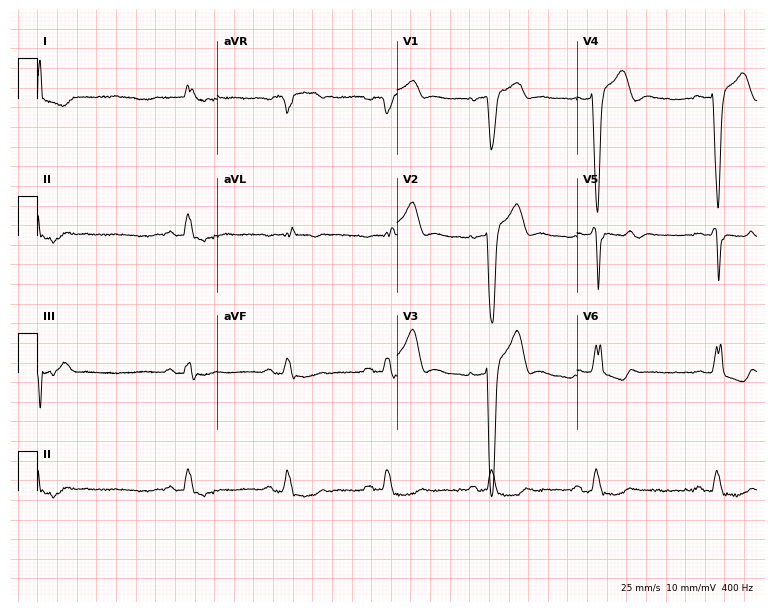
ECG (7.3-second recording at 400 Hz) — a male patient, 68 years old. Findings include left bundle branch block (LBBB).